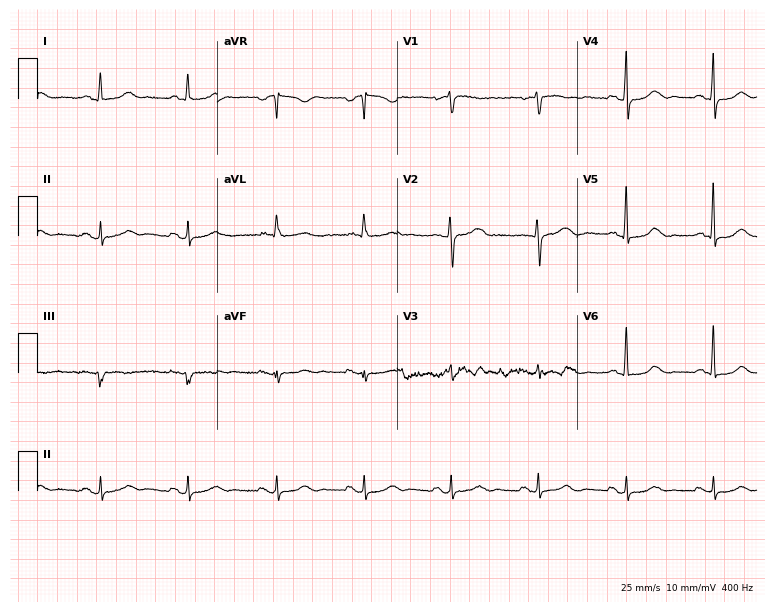
ECG (7.3-second recording at 400 Hz) — a 72-year-old female. Labelled as a normal ECG.